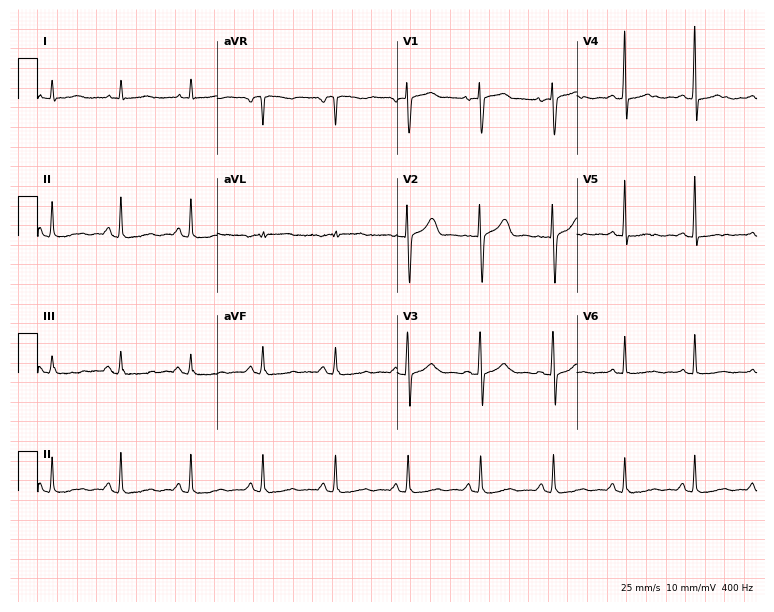
12-lead ECG from a 55-year-old female patient. No first-degree AV block, right bundle branch block (RBBB), left bundle branch block (LBBB), sinus bradycardia, atrial fibrillation (AF) or sinus tachycardia recorded for this tracing.